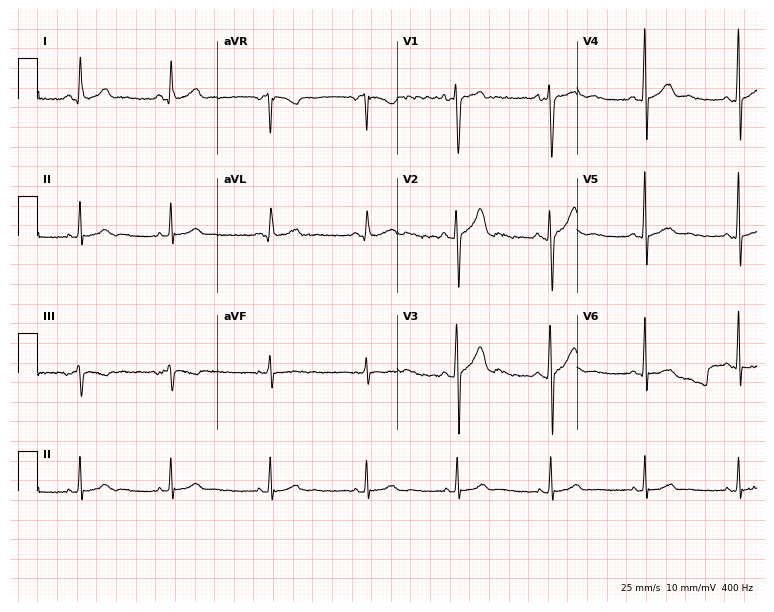
Resting 12-lead electrocardiogram (7.3-second recording at 400 Hz). Patient: a male, 17 years old. Read as a normal ECG.